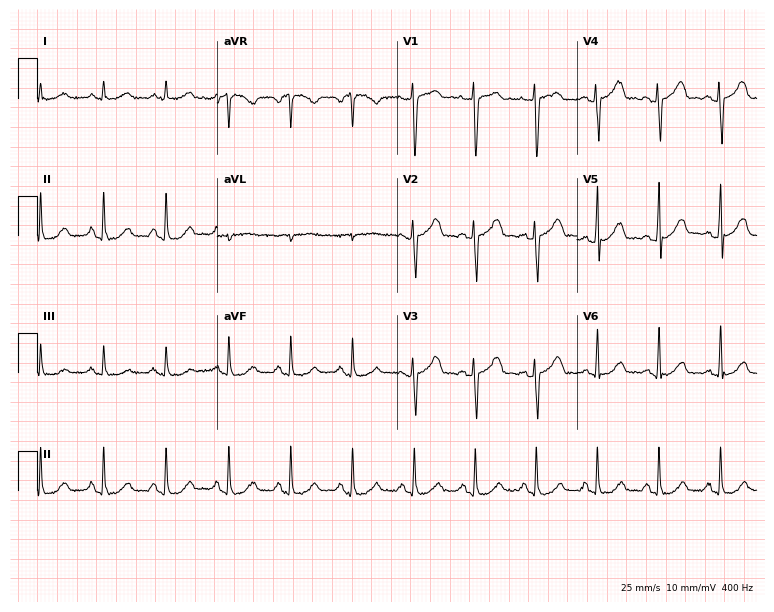
Resting 12-lead electrocardiogram (7.3-second recording at 400 Hz). Patient: a 68-year-old female. None of these six findings is recorded: first-degree AV block, right bundle branch block, left bundle branch block, sinus bradycardia, atrial fibrillation, sinus tachycardia.